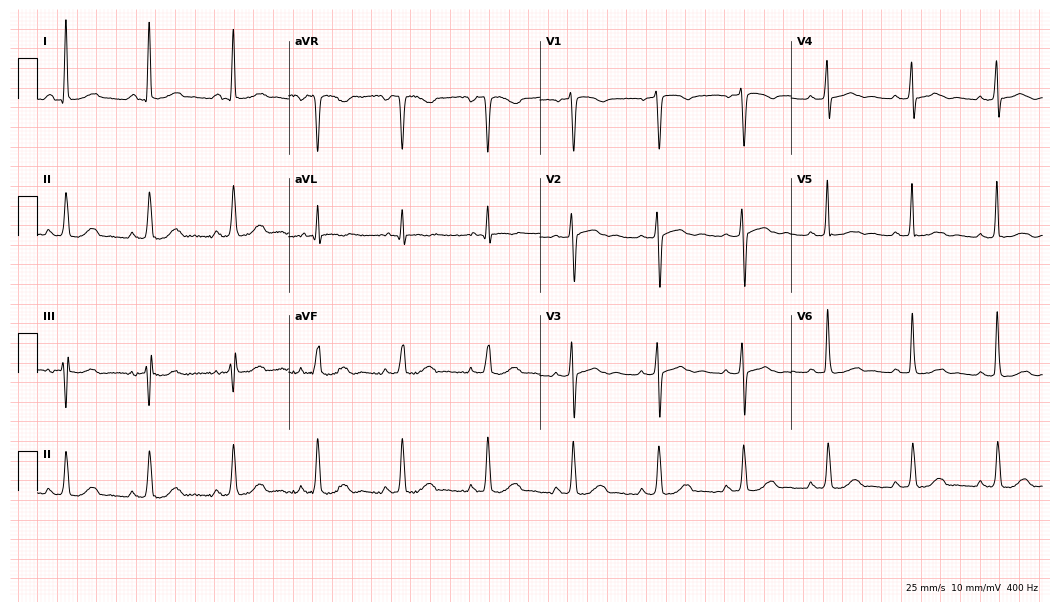
Resting 12-lead electrocardiogram. Patient: a woman, 53 years old. Read as a normal ECG.